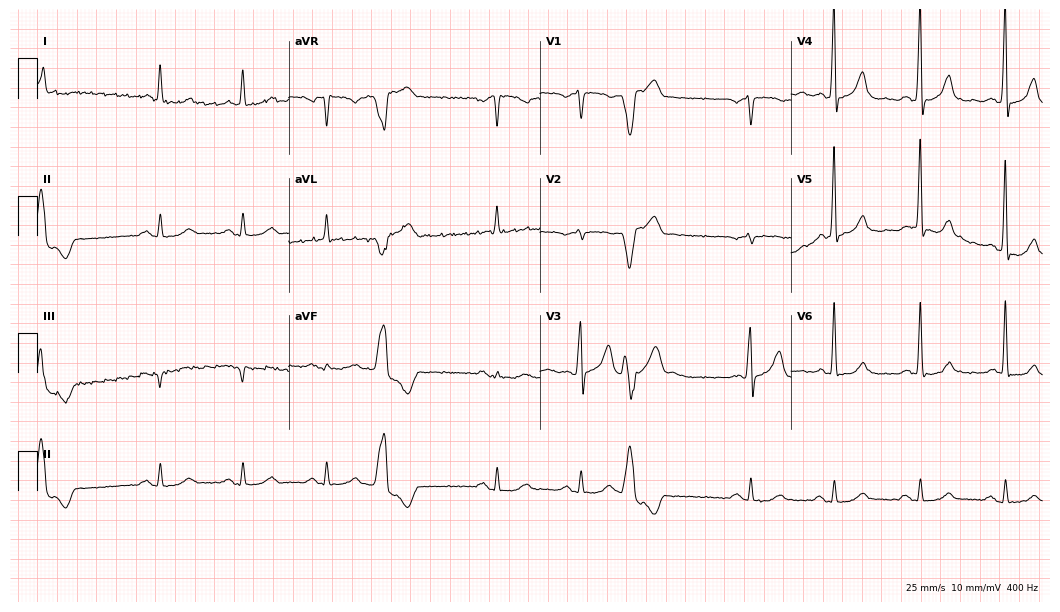
Resting 12-lead electrocardiogram. Patient: an 80-year-old male. None of these six findings is recorded: first-degree AV block, right bundle branch block, left bundle branch block, sinus bradycardia, atrial fibrillation, sinus tachycardia.